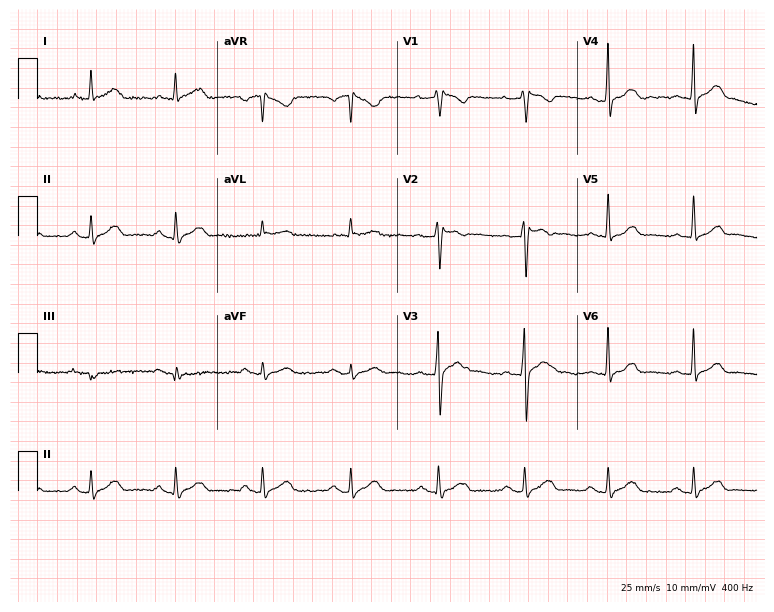
12-lead ECG from a male patient, 40 years old (7.3-second recording at 400 Hz). No first-degree AV block, right bundle branch block, left bundle branch block, sinus bradycardia, atrial fibrillation or sinus tachycardia recorded for this tracing.